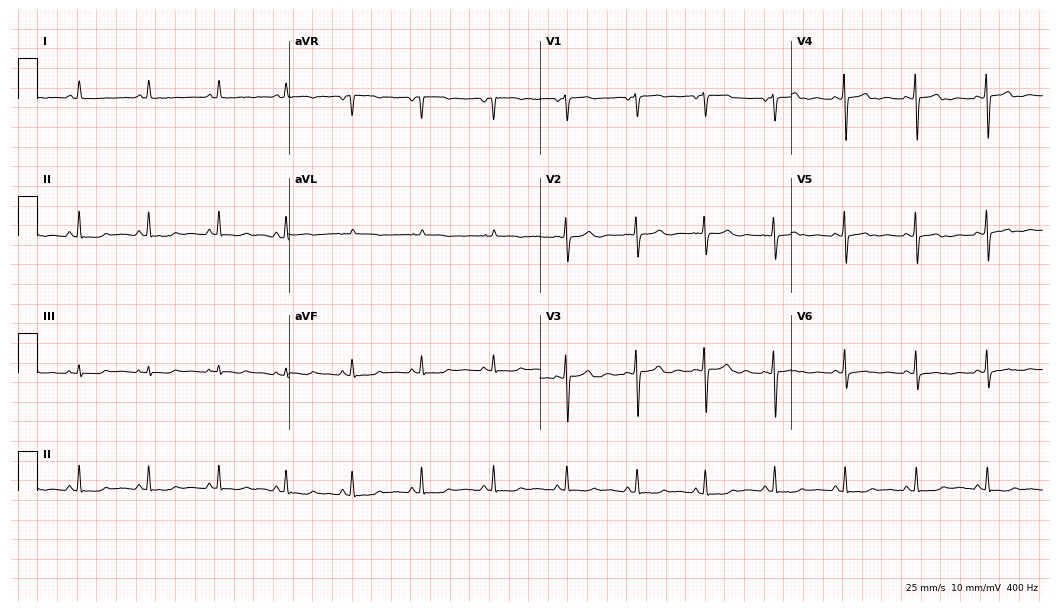
12-lead ECG from a 20-year-old female patient (10.2-second recording at 400 Hz). Recorded interpretation: within normal limits.